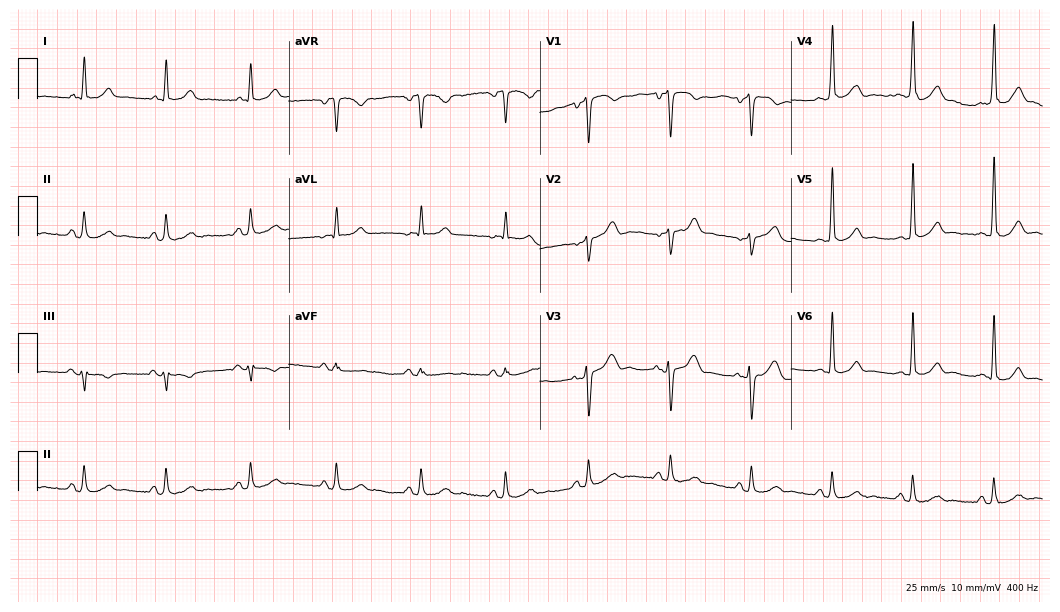
12-lead ECG from a male, 78 years old (10.2-second recording at 400 Hz). Recorded interpretation: within normal limits.